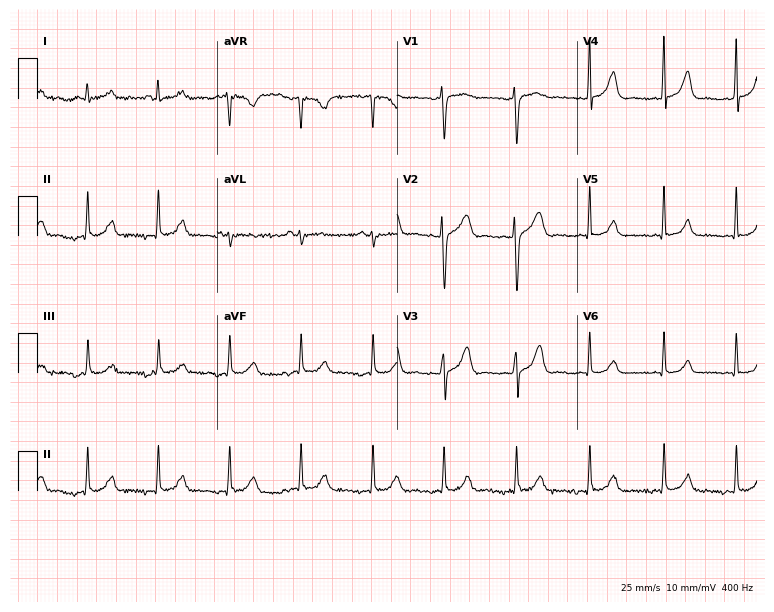
ECG (7.3-second recording at 400 Hz) — a 38-year-old woman. Labelled as a normal ECG.